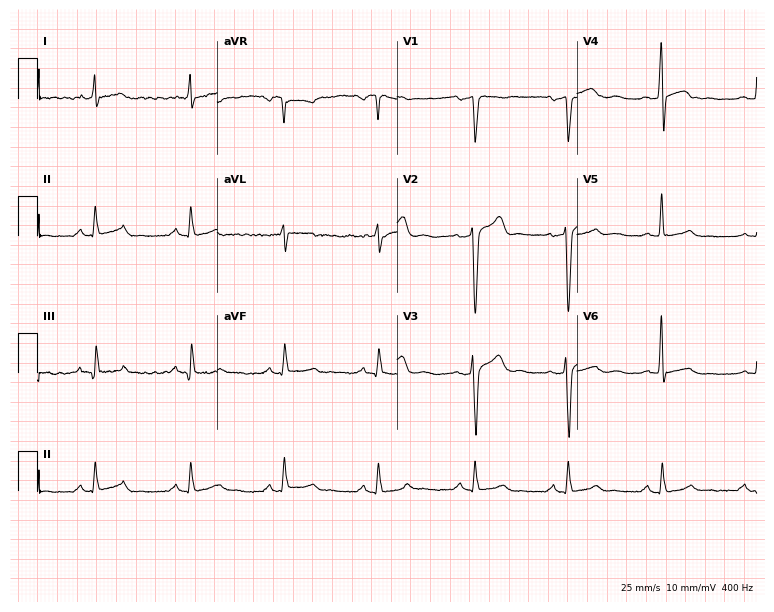
Standard 12-lead ECG recorded from a male patient, 30 years old. Read as a normal ECG.